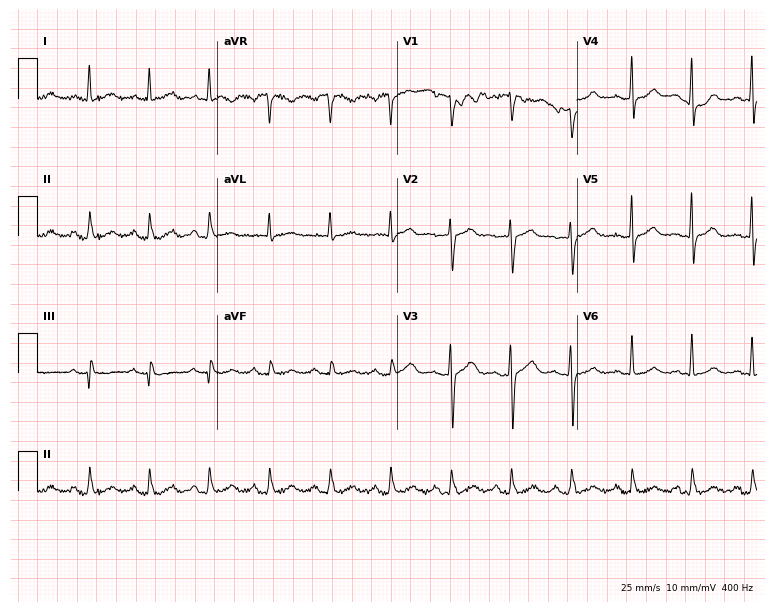
Standard 12-lead ECG recorded from a man, 54 years old (7.3-second recording at 400 Hz). None of these six findings is recorded: first-degree AV block, right bundle branch block (RBBB), left bundle branch block (LBBB), sinus bradycardia, atrial fibrillation (AF), sinus tachycardia. Other findings, if any, are not listed.